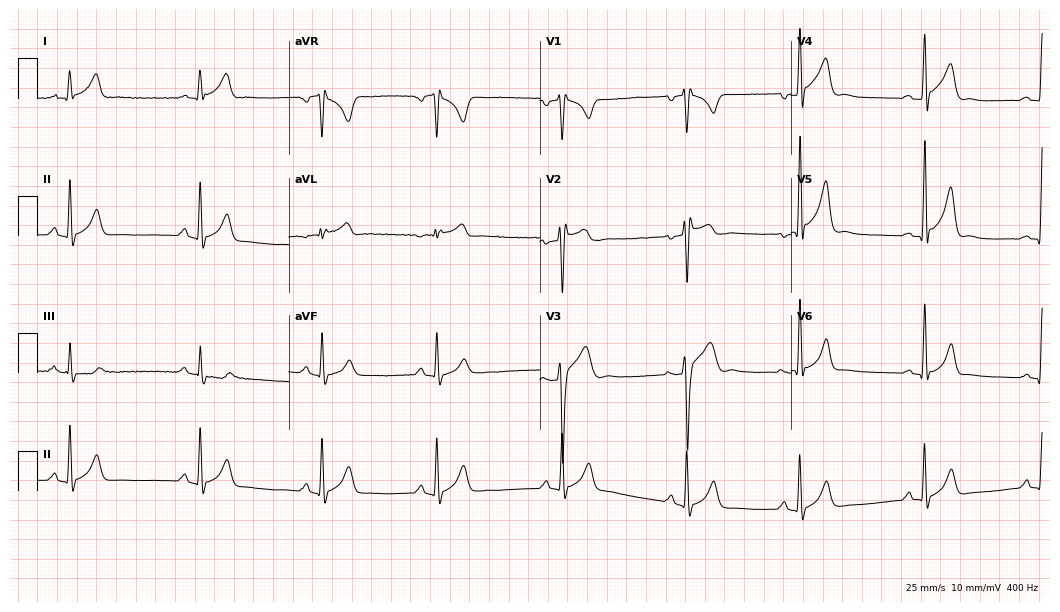
12-lead ECG from a male, 23 years old. Screened for six findings — first-degree AV block, right bundle branch block, left bundle branch block, sinus bradycardia, atrial fibrillation, sinus tachycardia — none is recorded. Only these six findings were labelled.